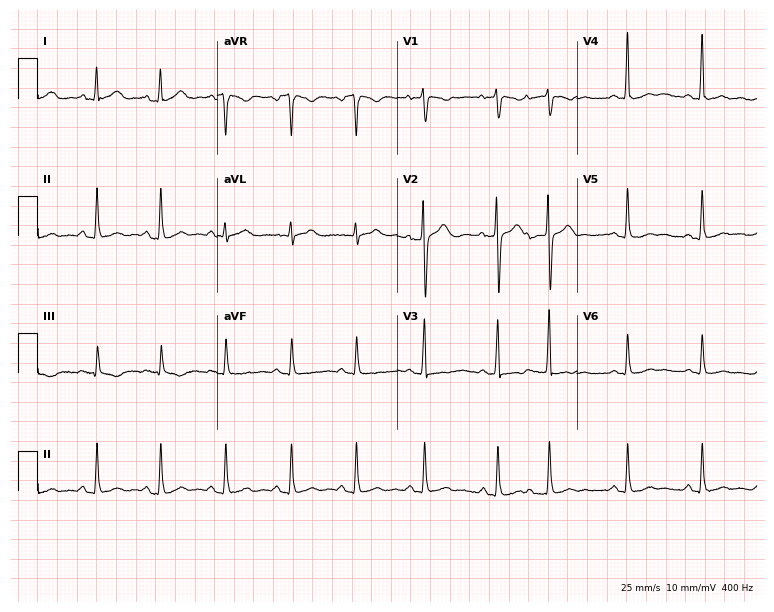
Resting 12-lead electrocardiogram. Patient: a female, 44 years old. None of these six findings is recorded: first-degree AV block, right bundle branch block, left bundle branch block, sinus bradycardia, atrial fibrillation, sinus tachycardia.